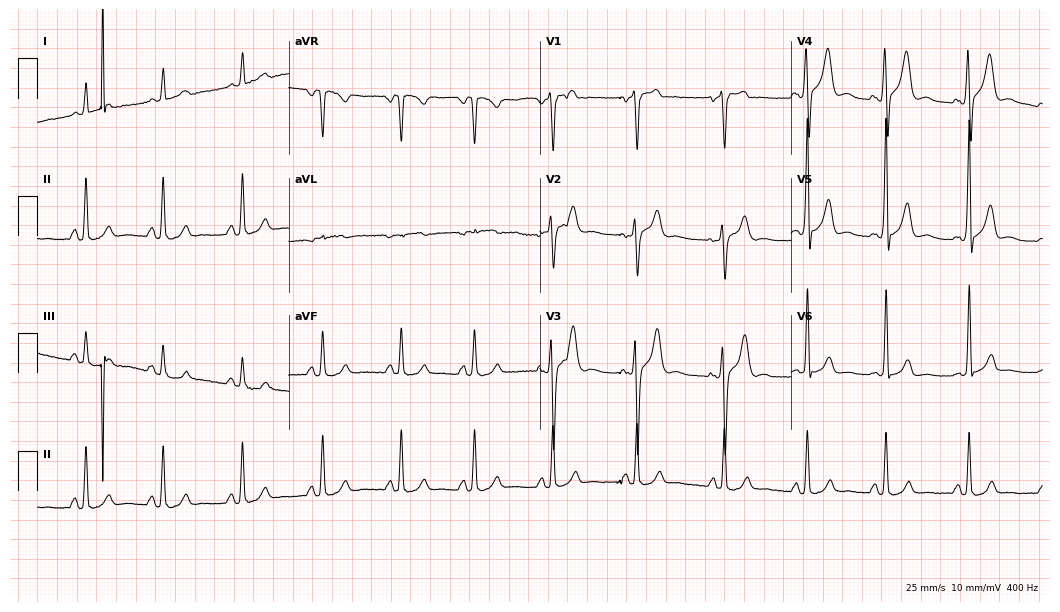
Electrocardiogram (10.2-second recording at 400 Hz), a male, 31 years old. Overall reading on record: normal ECG.